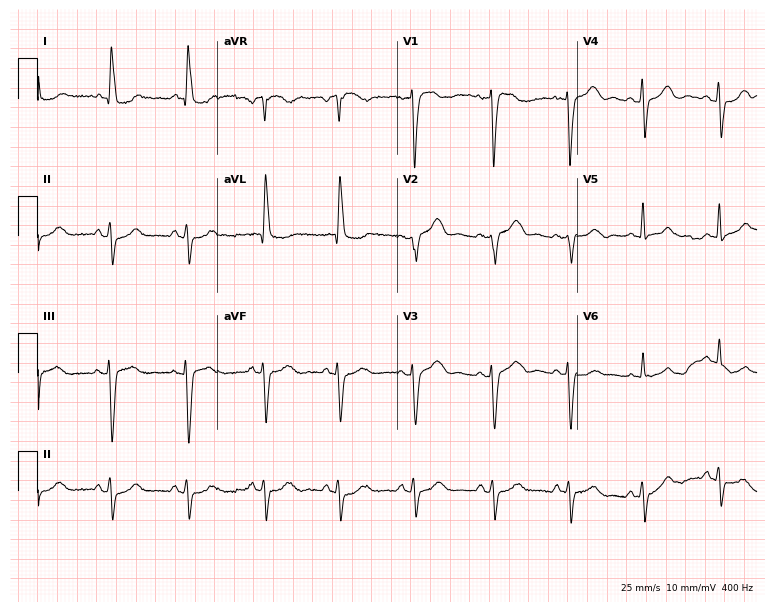
12-lead ECG from a female, 66 years old (7.3-second recording at 400 Hz). No first-degree AV block, right bundle branch block, left bundle branch block, sinus bradycardia, atrial fibrillation or sinus tachycardia recorded for this tracing. Findings outside these six are not listed.